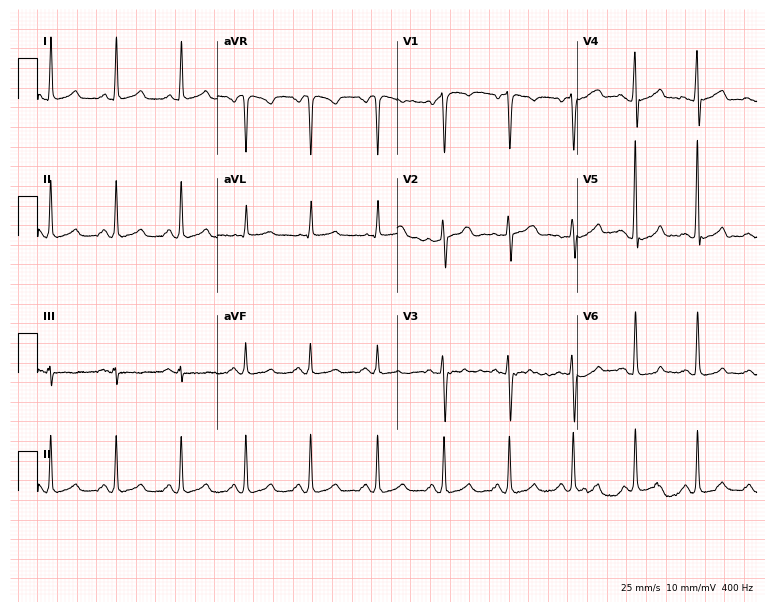
12-lead ECG (7.3-second recording at 400 Hz) from a 28-year-old woman. Labelled as a normal ECG.